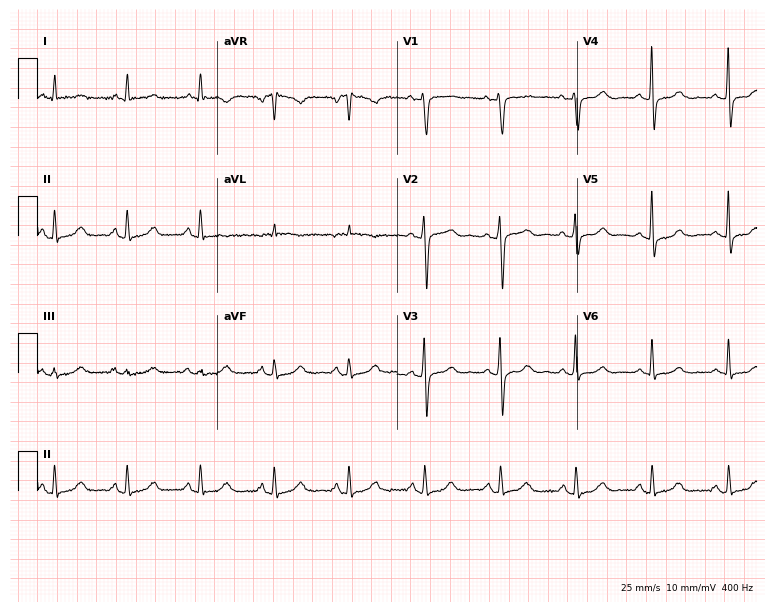
ECG — a 72-year-old female. Labelled as a normal ECG.